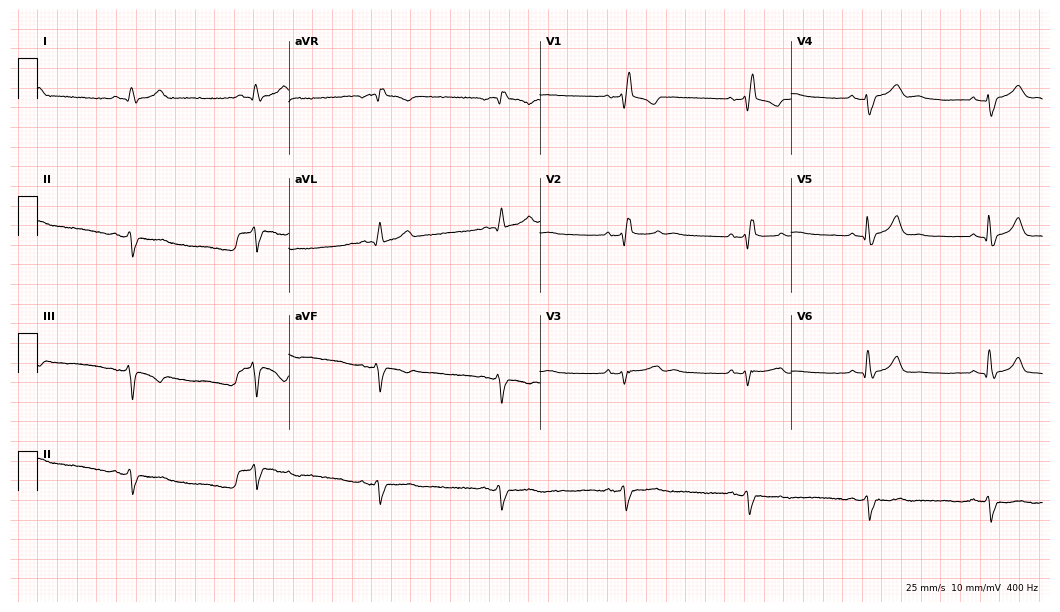
12-lead ECG from a male, 75 years old. Screened for six findings — first-degree AV block, right bundle branch block, left bundle branch block, sinus bradycardia, atrial fibrillation, sinus tachycardia — none is recorded. Findings outside these six are not listed.